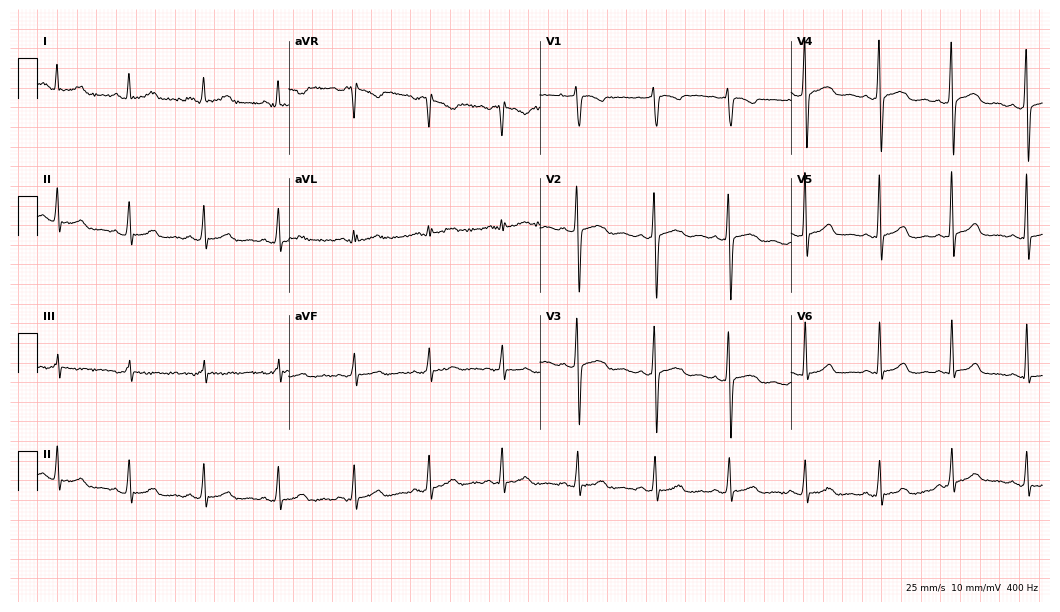
Electrocardiogram (10.2-second recording at 400 Hz), a 26-year-old female. Of the six screened findings (first-degree AV block, right bundle branch block, left bundle branch block, sinus bradycardia, atrial fibrillation, sinus tachycardia), none is recorded.